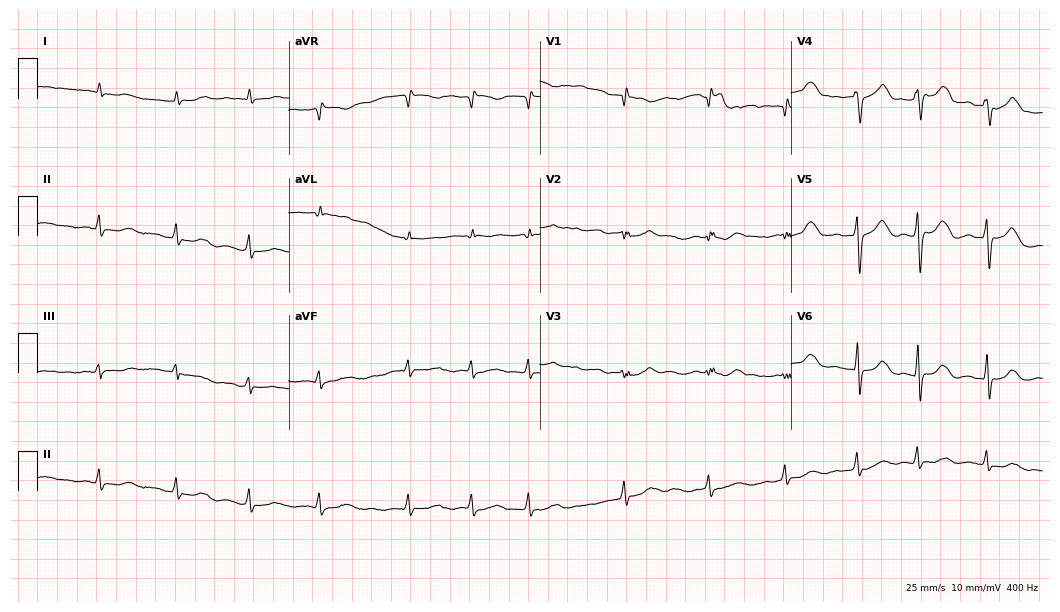
Resting 12-lead electrocardiogram (10.2-second recording at 400 Hz). Patient: a man, 84 years old. The tracing shows atrial fibrillation.